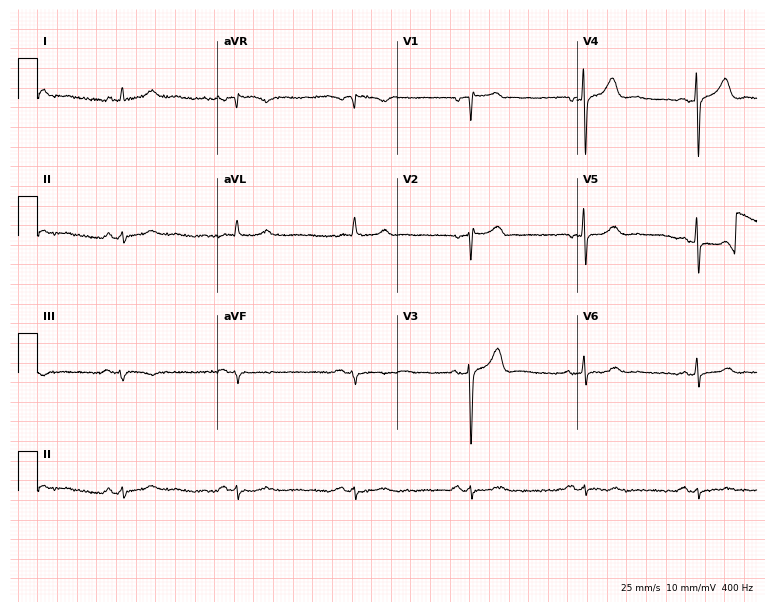
12-lead ECG from a male patient, 68 years old. No first-degree AV block, right bundle branch block (RBBB), left bundle branch block (LBBB), sinus bradycardia, atrial fibrillation (AF) or sinus tachycardia recorded for this tracing.